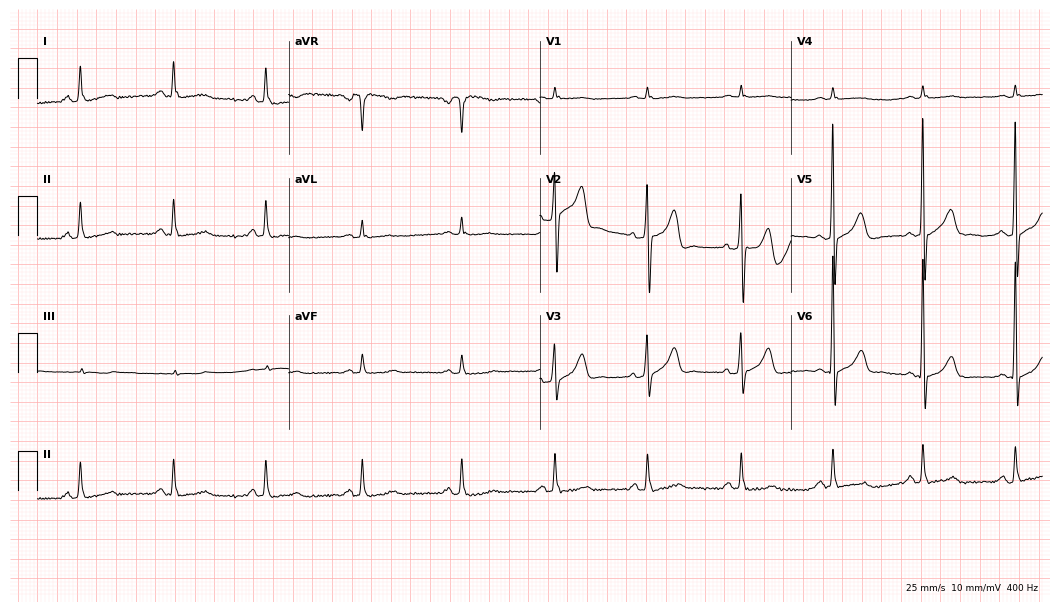
ECG — a male patient, 55 years old. Screened for six findings — first-degree AV block, right bundle branch block, left bundle branch block, sinus bradycardia, atrial fibrillation, sinus tachycardia — none is recorded. Only these six findings were labelled.